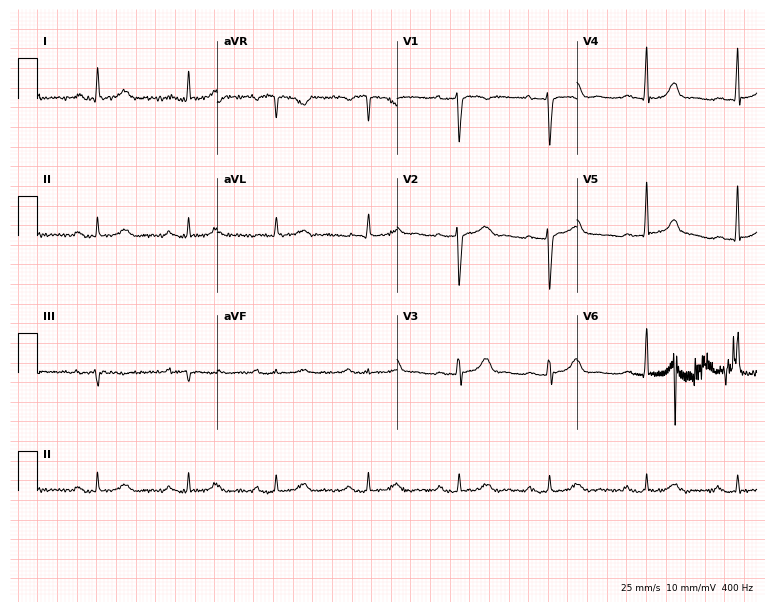
12-lead ECG from a female patient, 47 years old. Shows first-degree AV block.